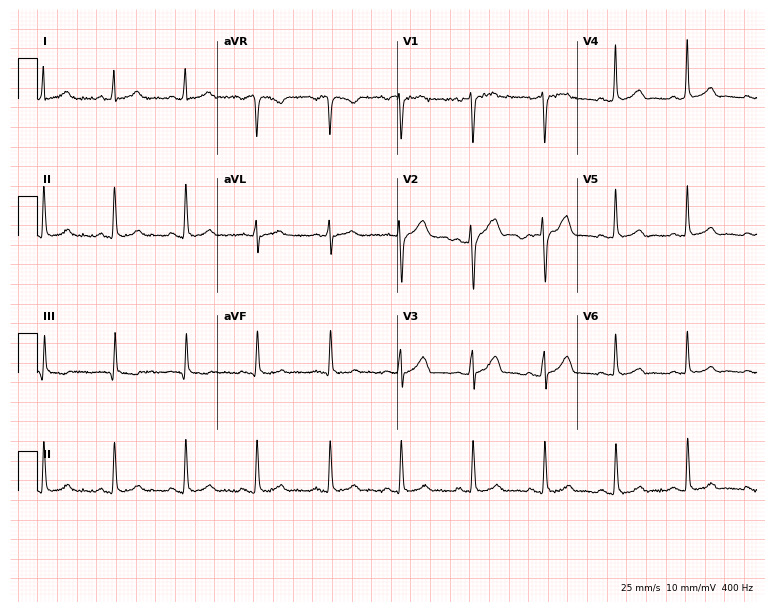
Electrocardiogram (7.3-second recording at 400 Hz), a male, 33 years old. Overall reading on record: normal ECG.